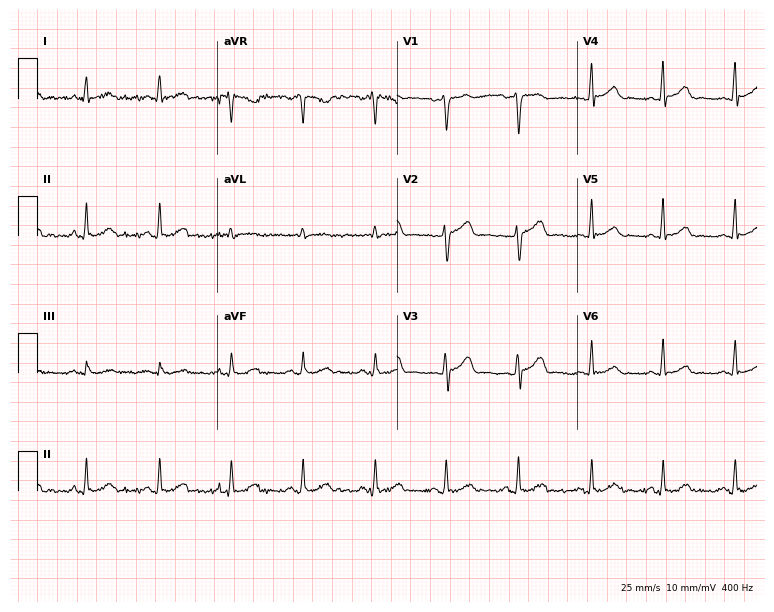
12-lead ECG from a 37-year-old man (7.3-second recording at 400 Hz). Recorded interpretation: within normal limits.